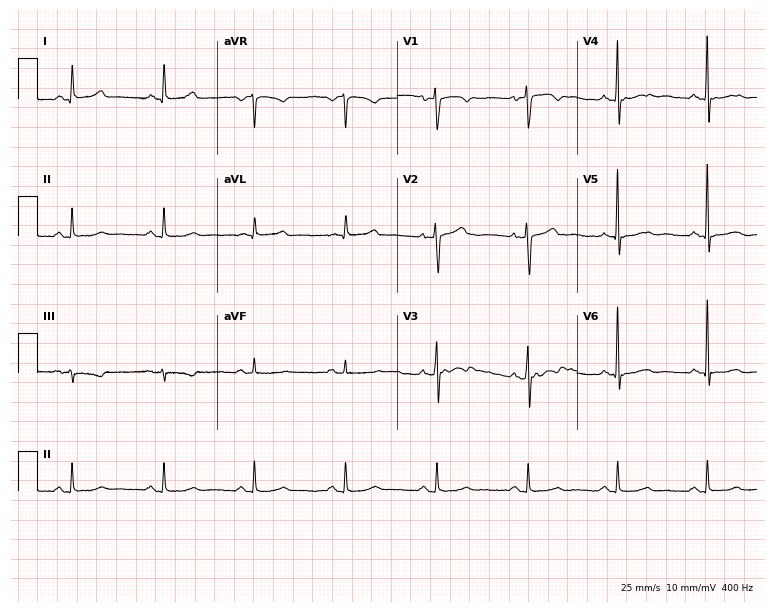
Standard 12-lead ECG recorded from a 61-year-old female. None of these six findings is recorded: first-degree AV block, right bundle branch block (RBBB), left bundle branch block (LBBB), sinus bradycardia, atrial fibrillation (AF), sinus tachycardia.